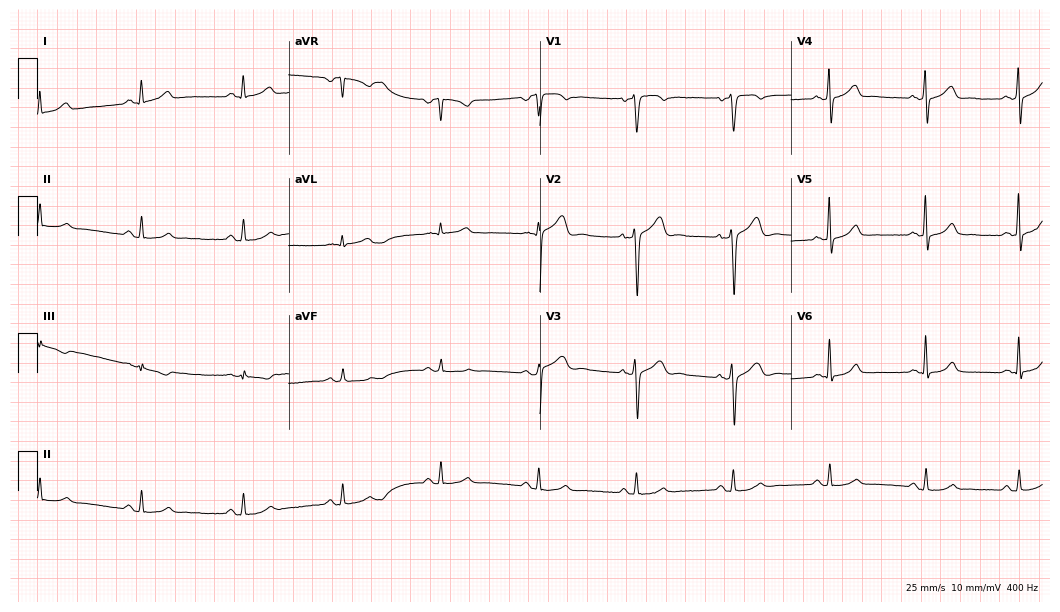
Standard 12-lead ECG recorded from a 52-year-old male patient. Read as a normal ECG.